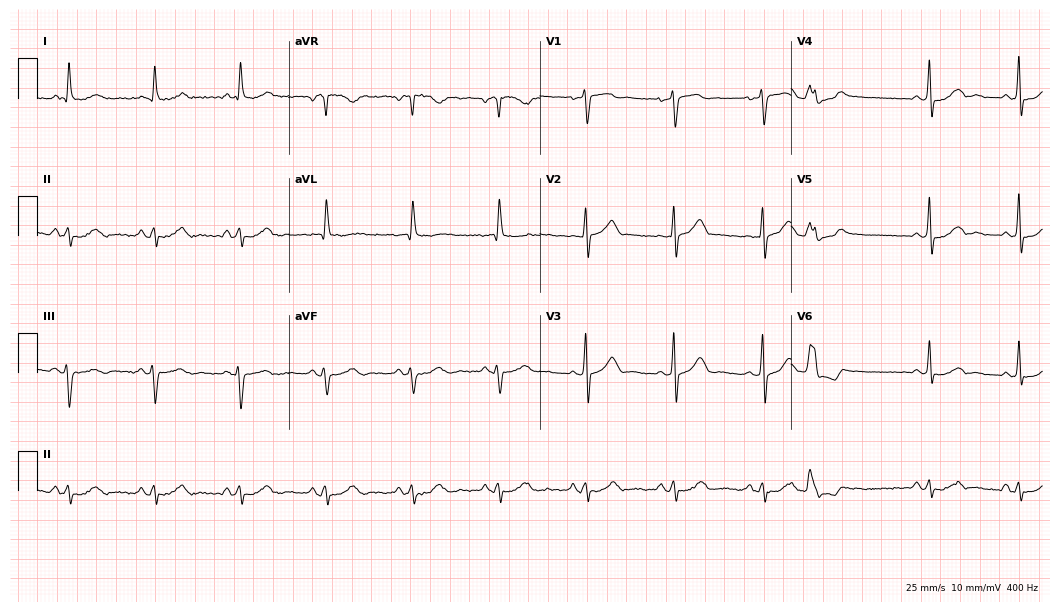
12-lead ECG (10.2-second recording at 400 Hz) from a male, 72 years old. Screened for six findings — first-degree AV block, right bundle branch block, left bundle branch block, sinus bradycardia, atrial fibrillation, sinus tachycardia — none is recorded.